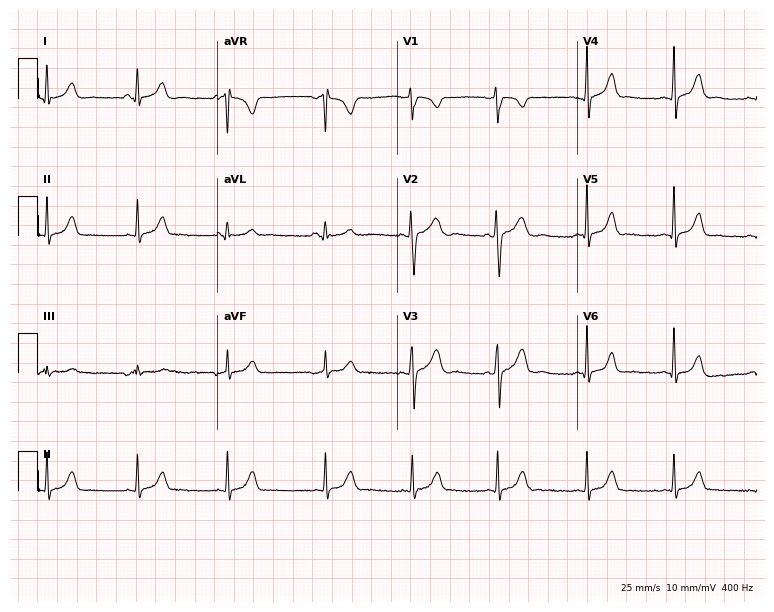
Resting 12-lead electrocardiogram. Patient: a female, 29 years old. Read as a normal ECG.